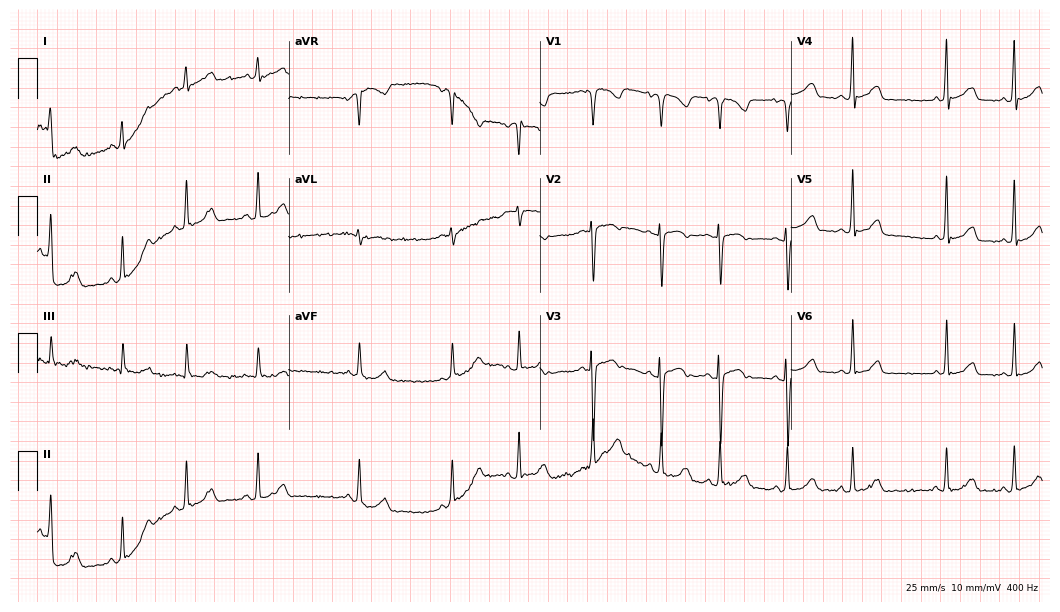
Standard 12-lead ECG recorded from a female patient, 34 years old. Read as a normal ECG.